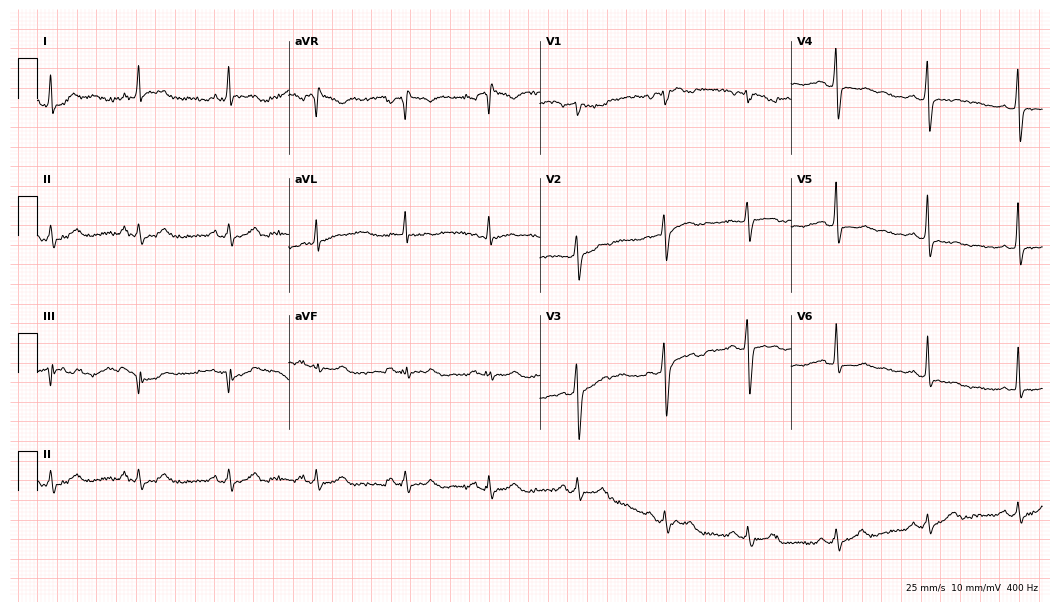
Standard 12-lead ECG recorded from a man, 37 years old. None of these six findings is recorded: first-degree AV block, right bundle branch block (RBBB), left bundle branch block (LBBB), sinus bradycardia, atrial fibrillation (AF), sinus tachycardia.